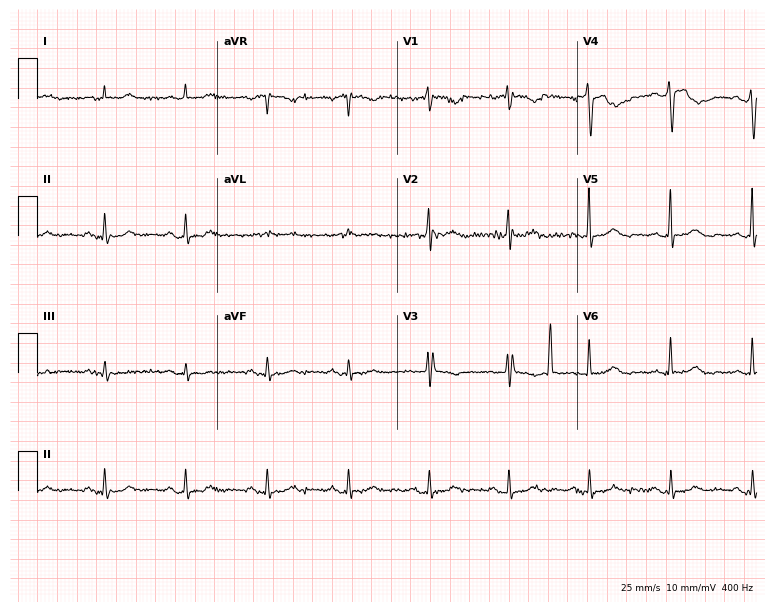
Standard 12-lead ECG recorded from an 83-year-old woman (7.3-second recording at 400 Hz). None of these six findings is recorded: first-degree AV block, right bundle branch block (RBBB), left bundle branch block (LBBB), sinus bradycardia, atrial fibrillation (AF), sinus tachycardia.